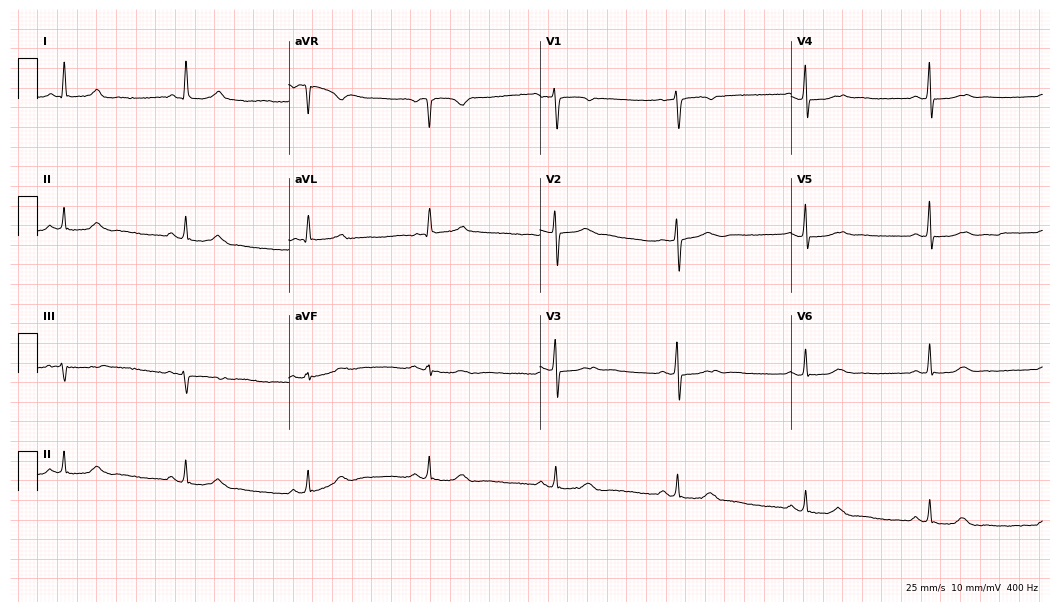
Resting 12-lead electrocardiogram (10.2-second recording at 400 Hz). Patient: a 57-year-old woman. The tracing shows sinus bradycardia (a sinus rate of 50 beats per minute or less).